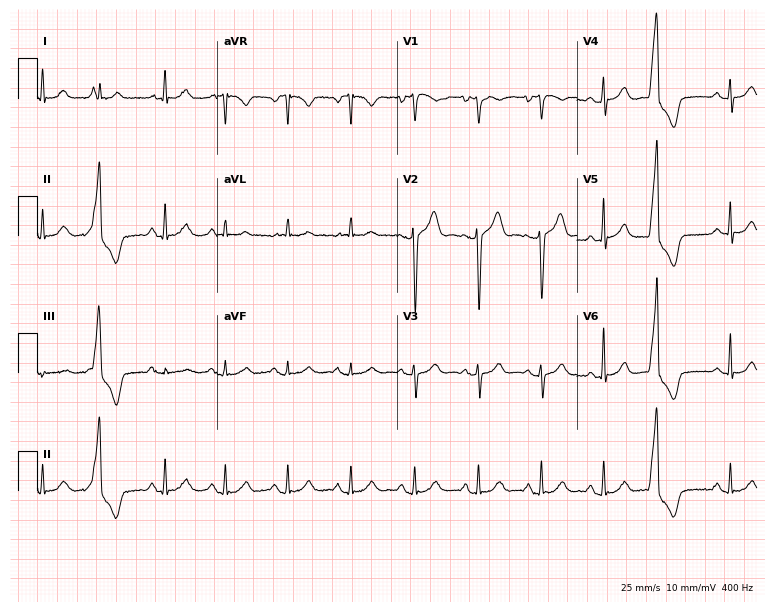
Standard 12-lead ECG recorded from a 72-year-old male. None of these six findings is recorded: first-degree AV block, right bundle branch block, left bundle branch block, sinus bradycardia, atrial fibrillation, sinus tachycardia.